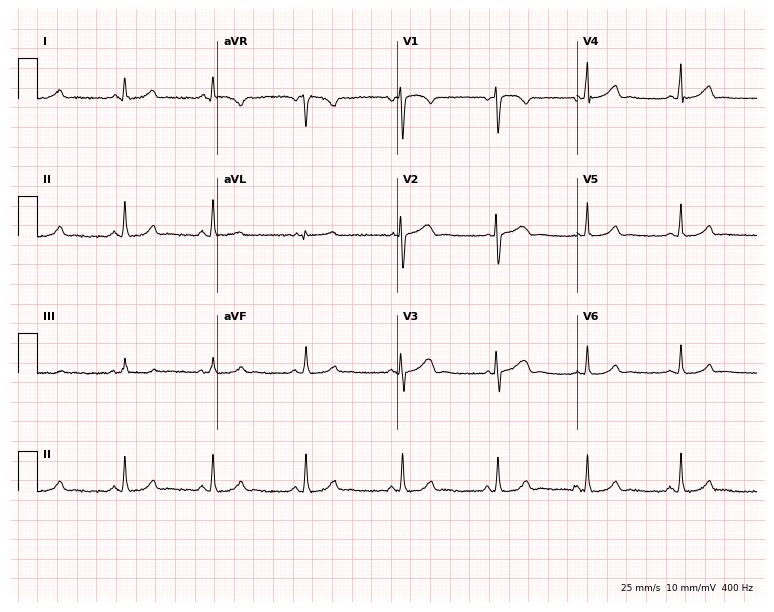
12-lead ECG from a 40-year-old woman. Screened for six findings — first-degree AV block, right bundle branch block, left bundle branch block, sinus bradycardia, atrial fibrillation, sinus tachycardia — none is recorded. Only these six findings were labelled.